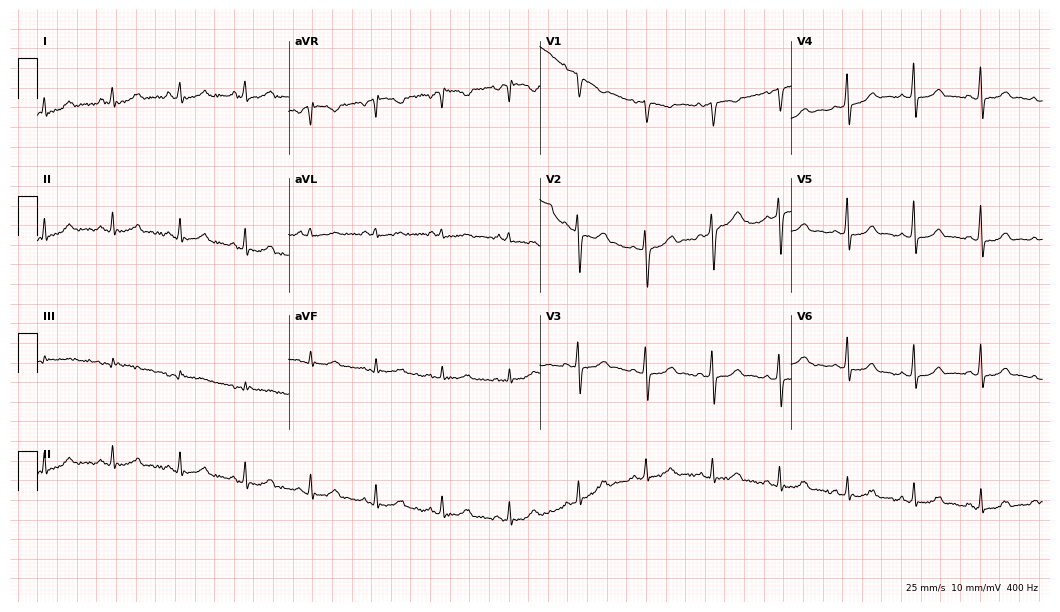
Resting 12-lead electrocardiogram. Patient: a 22-year-old female. Read as a normal ECG.